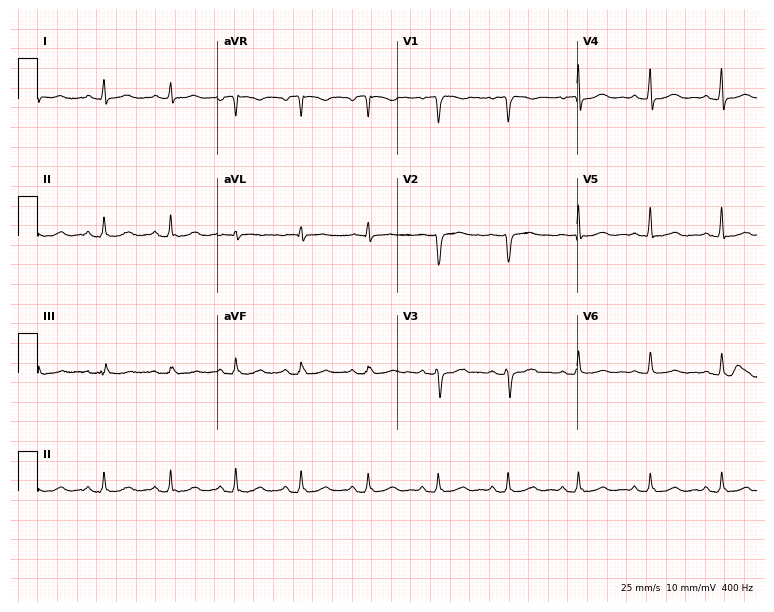
12-lead ECG from a female, 37 years old. Screened for six findings — first-degree AV block, right bundle branch block, left bundle branch block, sinus bradycardia, atrial fibrillation, sinus tachycardia — none is recorded.